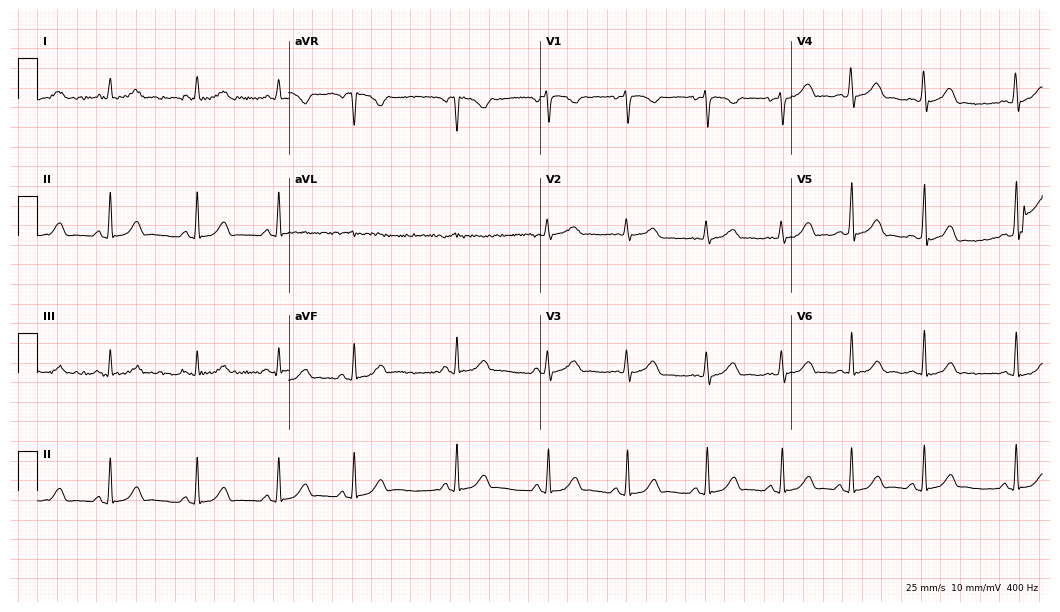
ECG (10.2-second recording at 400 Hz) — a female, 17 years old. Labelled as a normal ECG.